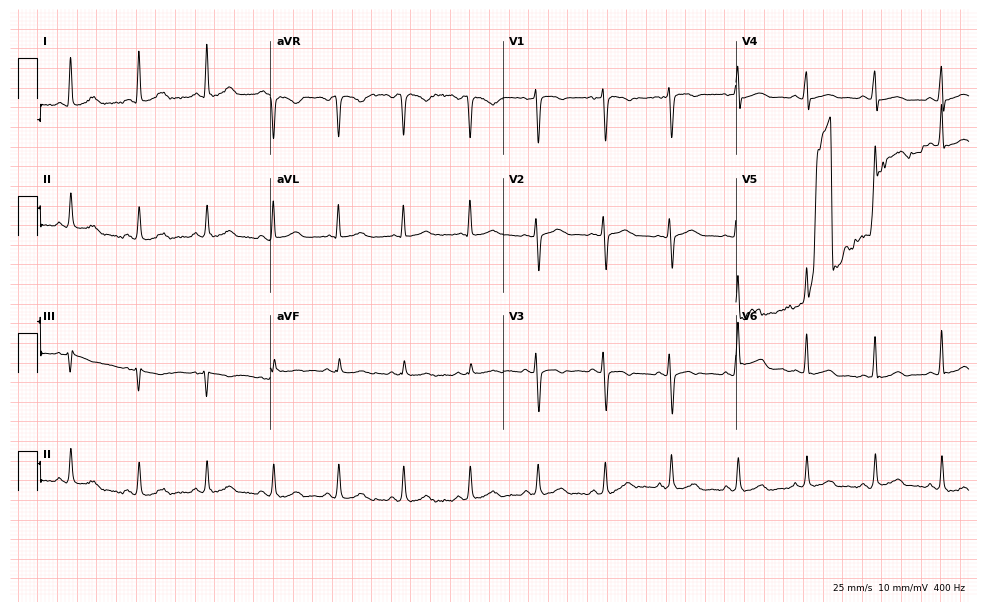
Electrocardiogram (9.5-second recording at 400 Hz), a female, 52 years old. Overall reading on record: normal ECG.